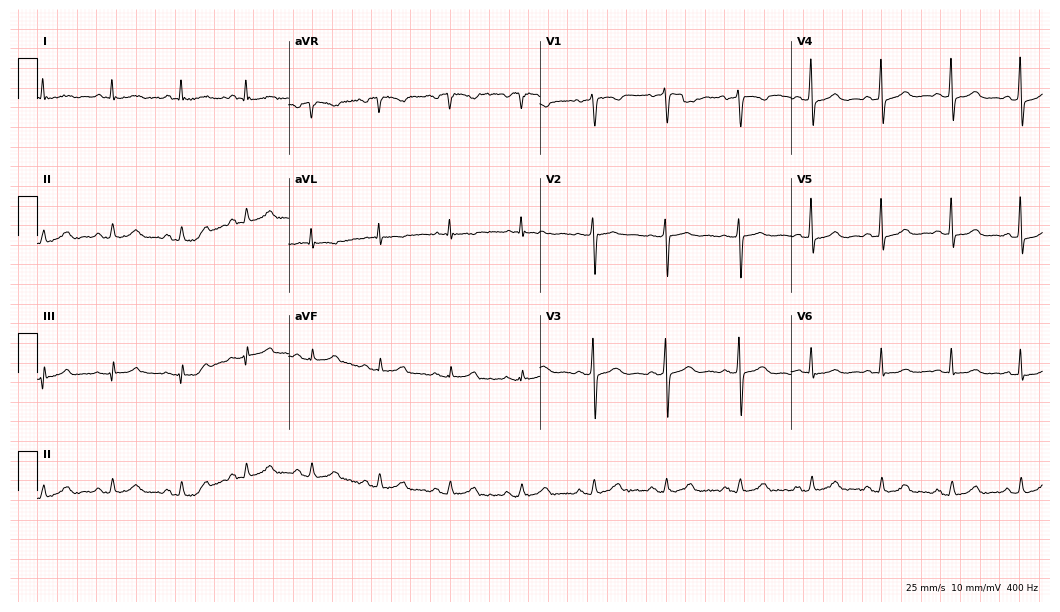
Electrocardiogram (10.2-second recording at 400 Hz), a 58-year-old woman. Of the six screened findings (first-degree AV block, right bundle branch block, left bundle branch block, sinus bradycardia, atrial fibrillation, sinus tachycardia), none is recorded. Other findings, if any, are not listed.